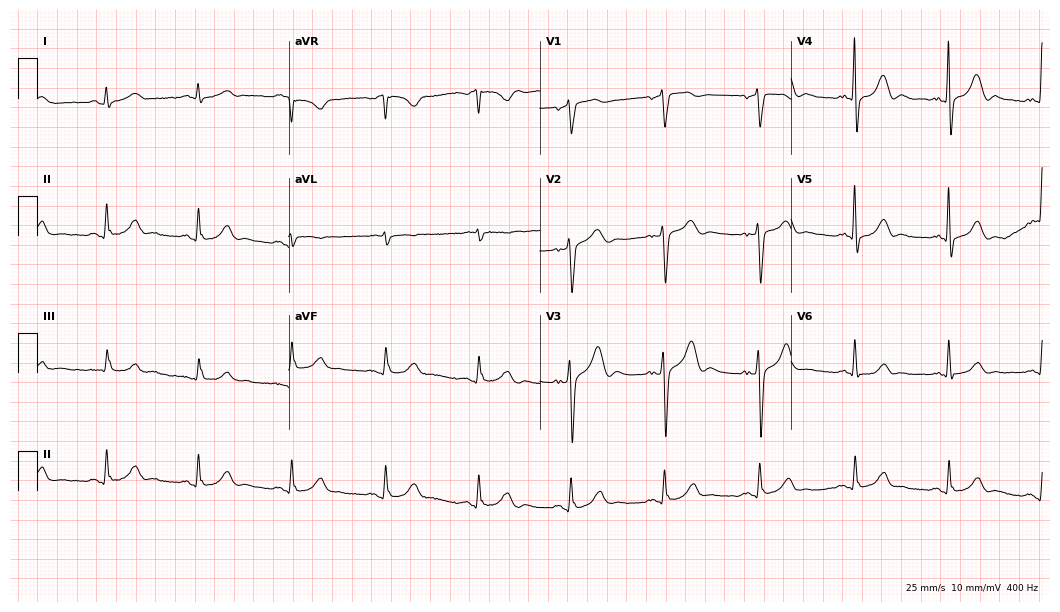
12-lead ECG from a 79-year-old female patient. No first-degree AV block, right bundle branch block, left bundle branch block, sinus bradycardia, atrial fibrillation or sinus tachycardia recorded for this tracing. Other findings, if any, are not listed.